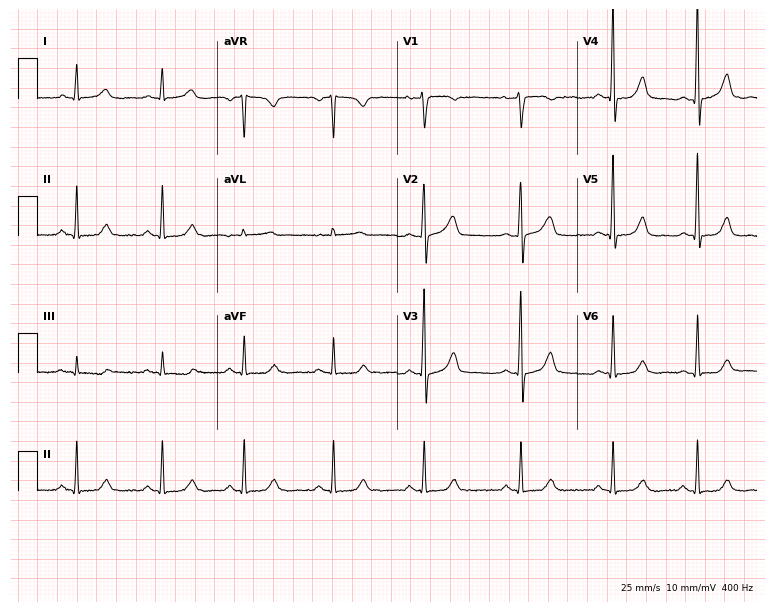
Resting 12-lead electrocardiogram (7.3-second recording at 400 Hz). Patient: a female, 41 years old. Read as a normal ECG.